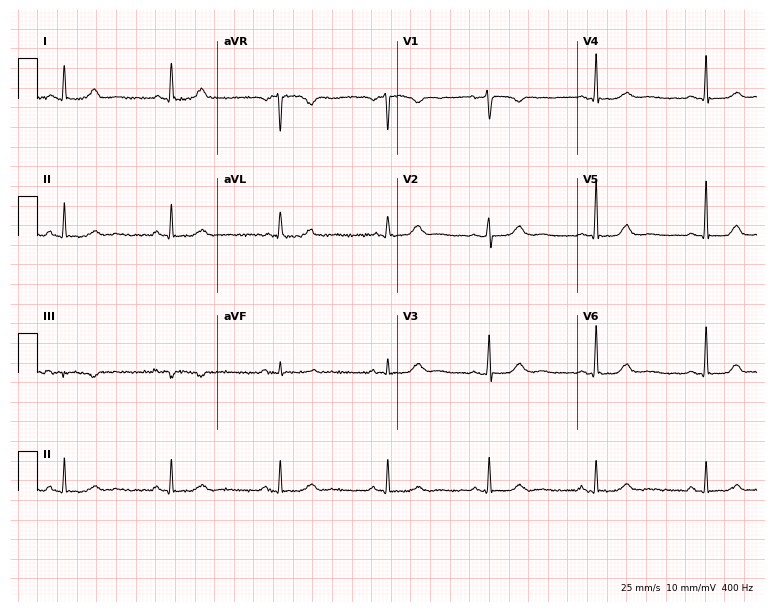
ECG (7.3-second recording at 400 Hz) — a female patient, 59 years old. Labelled as a normal ECG.